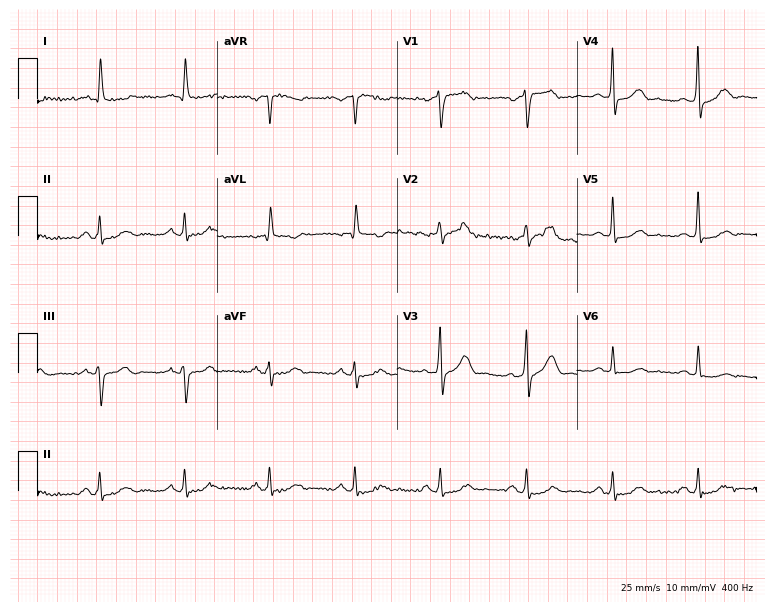
Standard 12-lead ECG recorded from a man, 76 years old (7.3-second recording at 400 Hz). None of these six findings is recorded: first-degree AV block, right bundle branch block, left bundle branch block, sinus bradycardia, atrial fibrillation, sinus tachycardia.